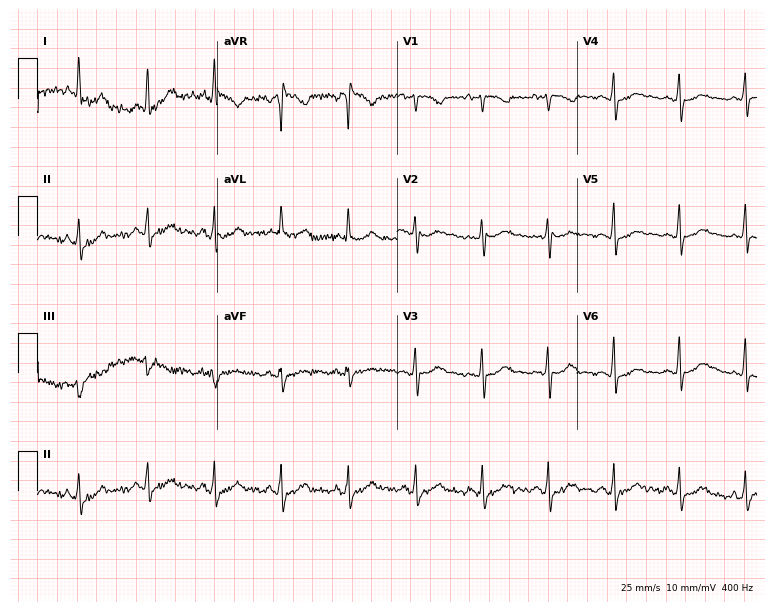
Standard 12-lead ECG recorded from a female patient, 35 years old (7.3-second recording at 400 Hz). None of these six findings is recorded: first-degree AV block, right bundle branch block, left bundle branch block, sinus bradycardia, atrial fibrillation, sinus tachycardia. Other findings, if any, are not listed.